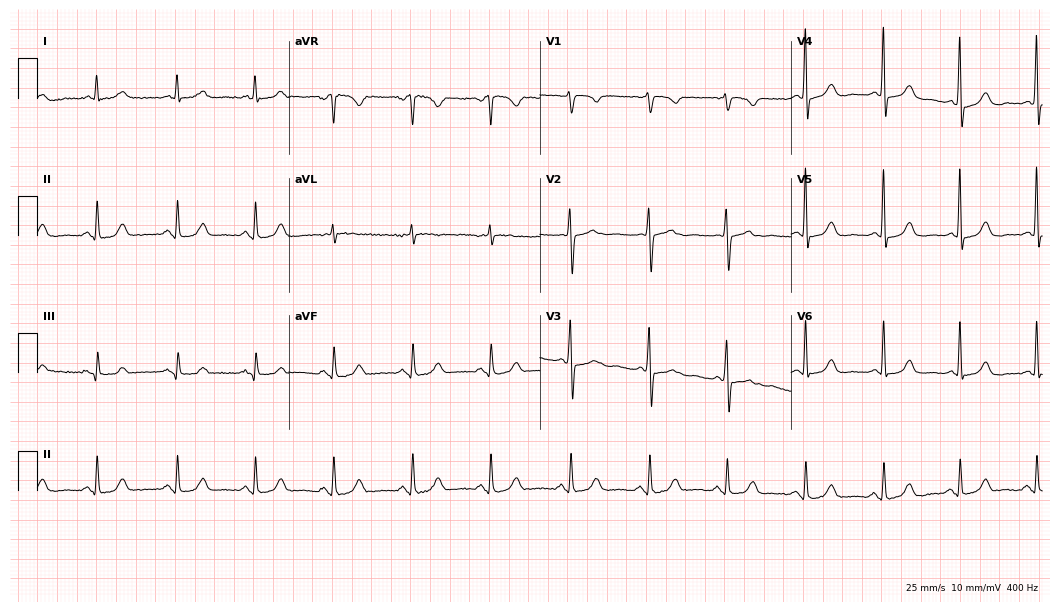
12-lead ECG (10.2-second recording at 400 Hz) from a female patient, 70 years old. Labelled as a normal ECG.